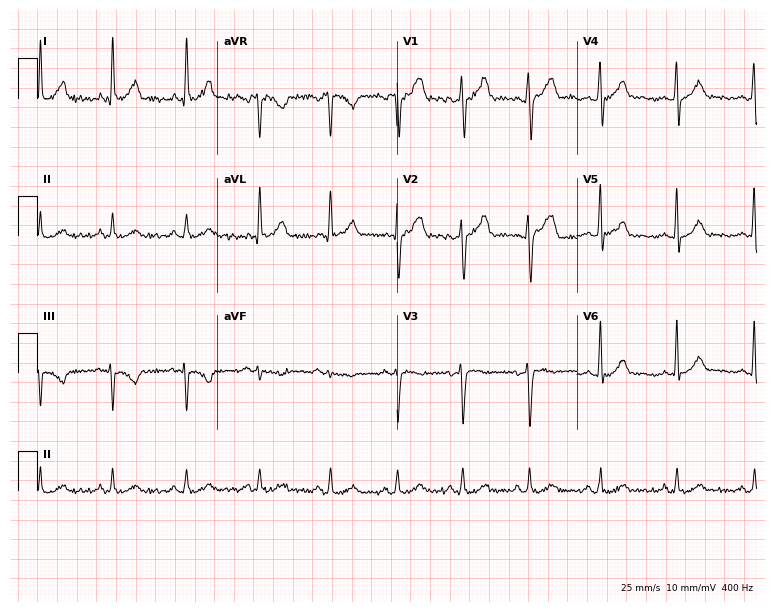
Resting 12-lead electrocardiogram (7.3-second recording at 400 Hz). Patient: a 33-year-old male. Read as a normal ECG.